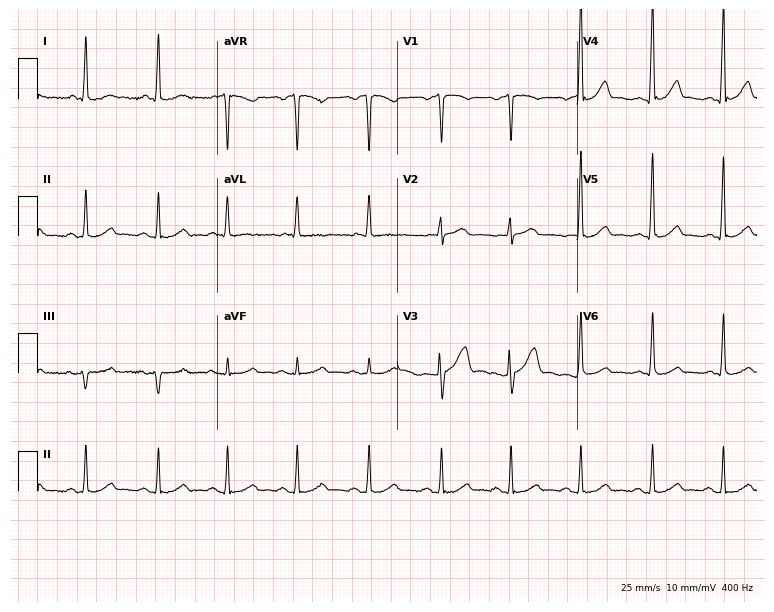
12-lead ECG from a female patient, 71 years old. Labelled as a normal ECG.